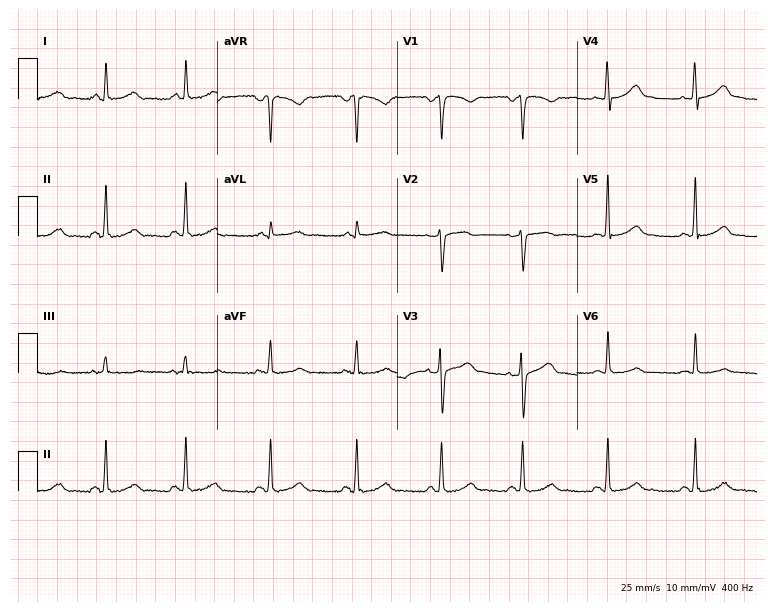
Resting 12-lead electrocardiogram (7.3-second recording at 400 Hz). Patient: a female, 35 years old. Read as a normal ECG.